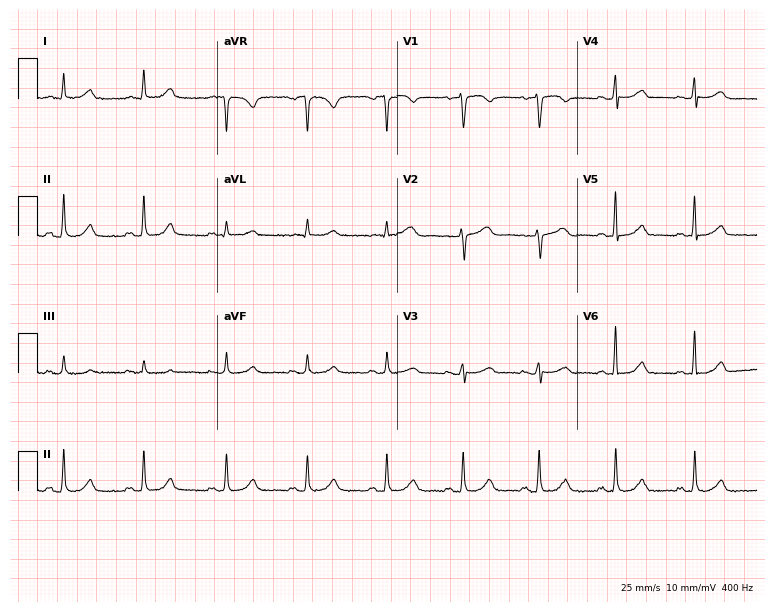
12-lead ECG from a 51-year-old female (7.3-second recording at 400 Hz). Recorded interpretation: within normal limits.